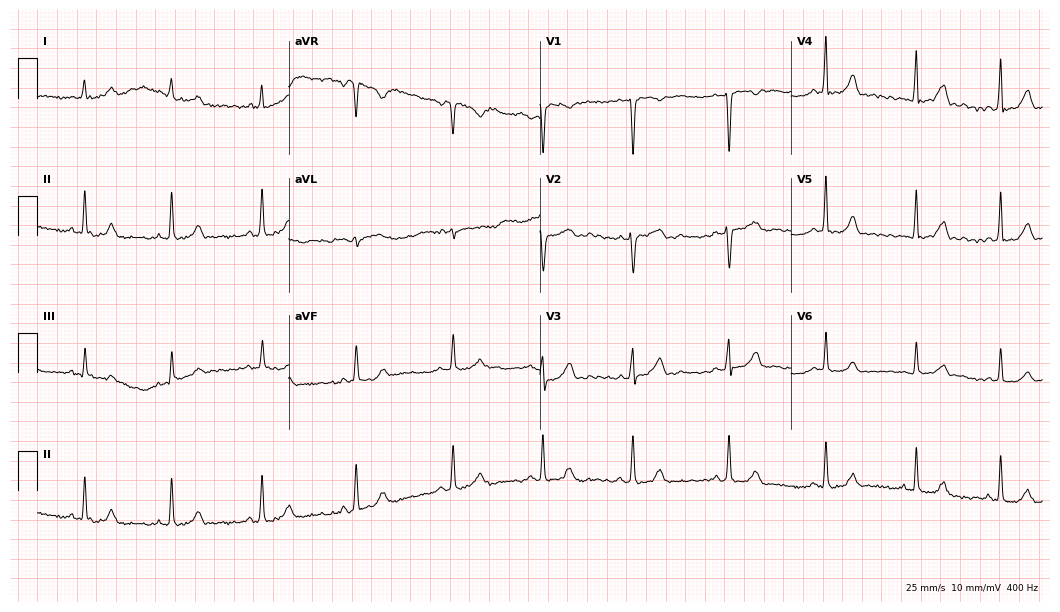
ECG — a 26-year-old female. Labelled as a normal ECG.